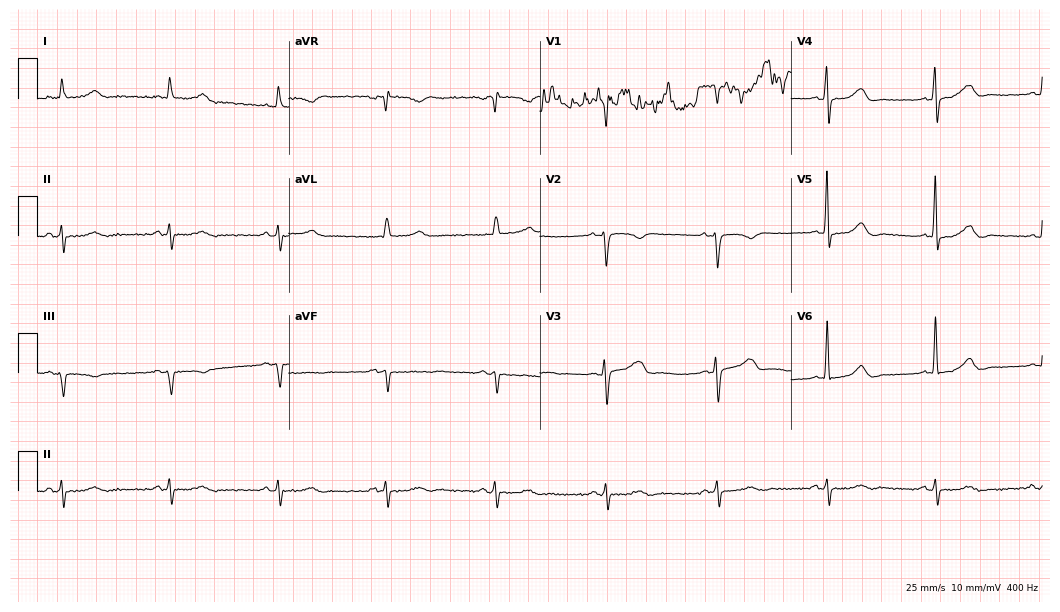
Resting 12-lead electrocardiogram. Patient: a male, 85 years old. None of these six findings is recorded: first-degree AV block, right bundle branch block (RBBB), left bundle branch block (LBBB), sinus bradycardia, atrial fibrillation (AF), sinus tachycardia.